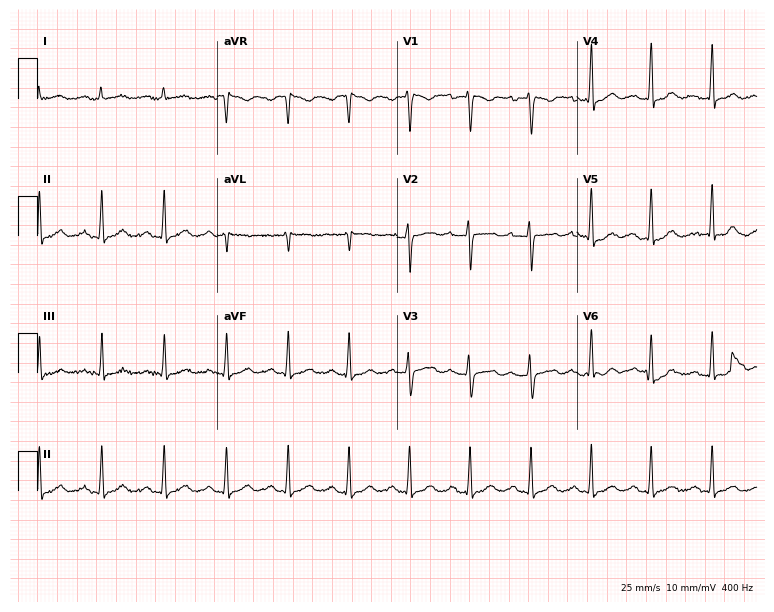
12-lead ECG from a female, 33 years old. No first-degree AV block, right bundle branch block, left bundle branch block, sinus bradycardia, atrial fibrillation or sinus tachycardia recorded for this tracing.